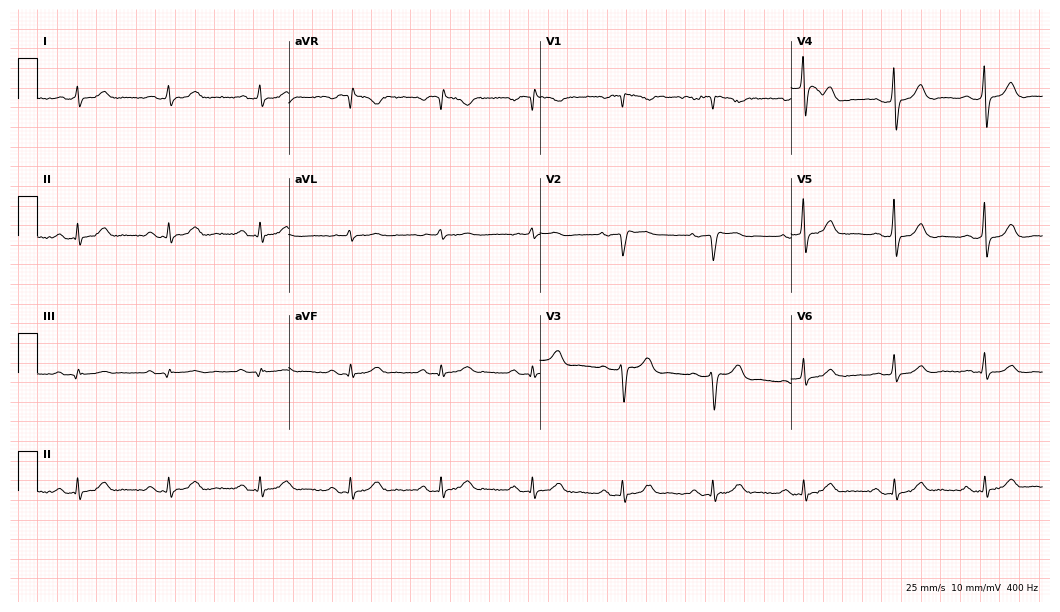
ECG — a female patient, 75 years old. Labelled as a normal ECG.